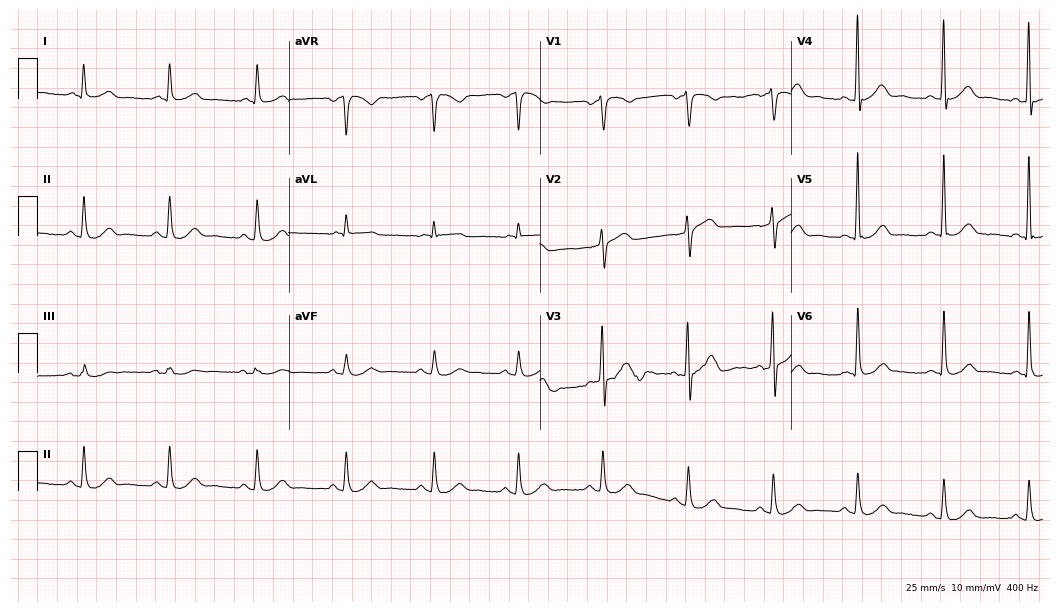
12-lead ECG from a 71-year-old male patient. No first-degree AV block, right bundle branch block (RBBB), left bundle branch block (LBBB), sinus bradycardia, atrial fibrillation (AF) or sinus tachycardia recorded for this tracing. Other findings, if any, are not listed.